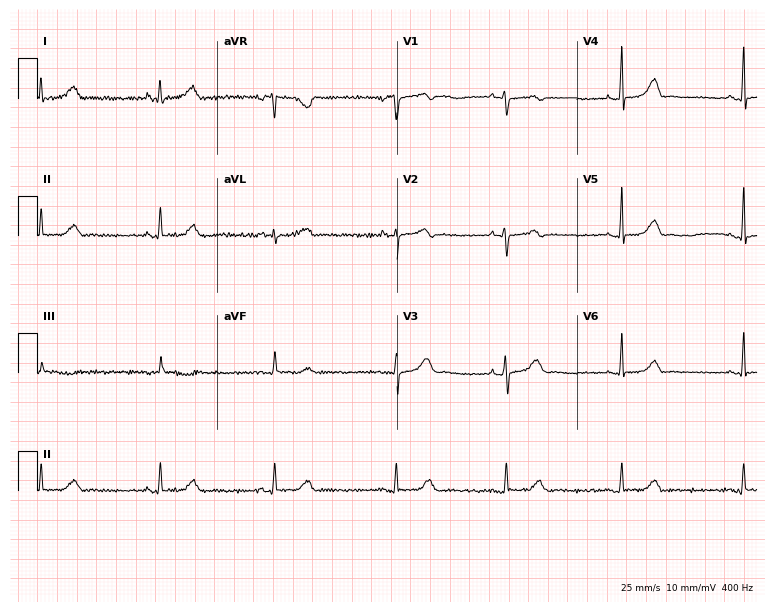
Resting 12-lead electrocardiogram (7.3-second recording at 400 Hz). Patient: a 42-year-old female. Read as a normal ECG.